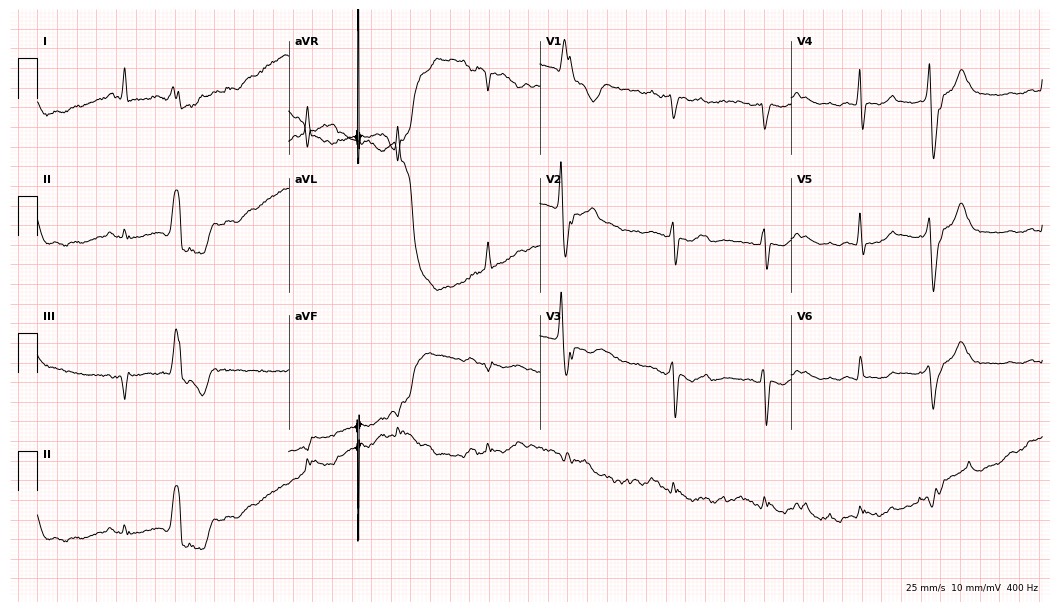
ECG (10.2-second recording at 400 Hz) — a 60-year-old female patient. Screened for six findings — first-degree AV block, right bundle branch block, left bundle branch block, sinus bradycardia, atrial fibrillation, sinus tachycardia — none is recorded. Other findings, if any, are not listed.